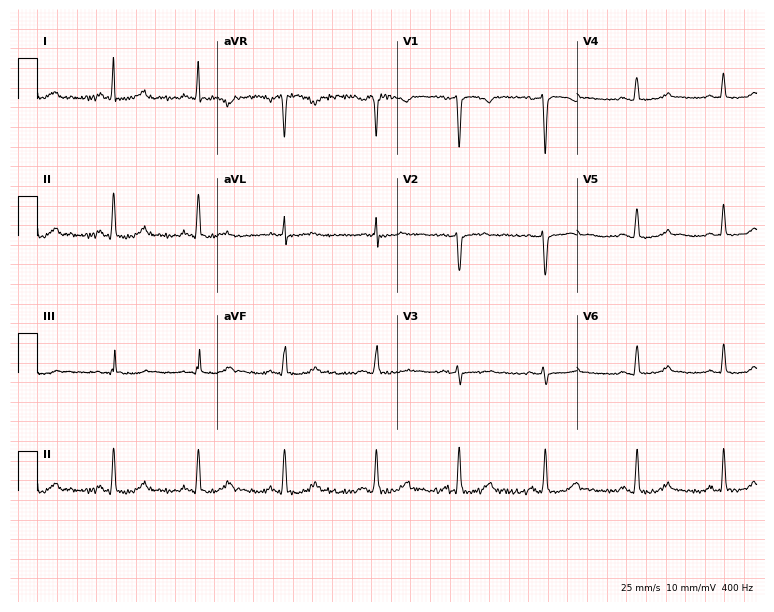
Resting 12-lead electrocardiogram (7.3-second recording at 400 Hz). Patient: a female, 31 years old. Read as a normal ECG.